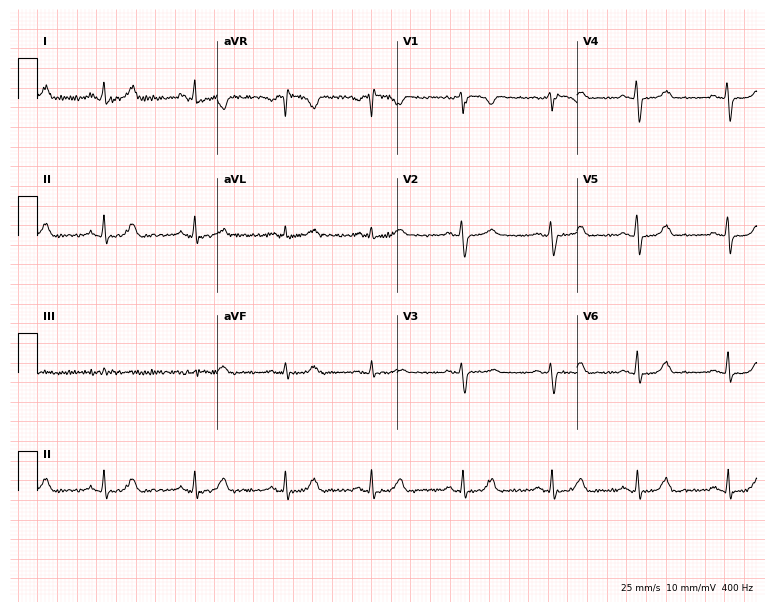
Electrocardiogram, a 35-year-old female. Overall reading on record: normal ECG.